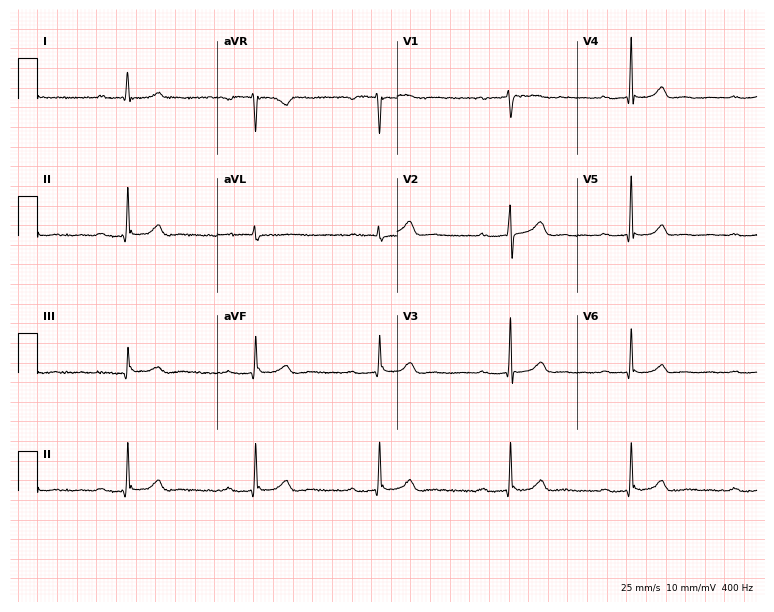
Standard 12-lead ECG recorded from a female, 50 years old. The tracing shows first-degree AV block, sinus bradycardia (a sinus rate of 50 beats per minute or less).